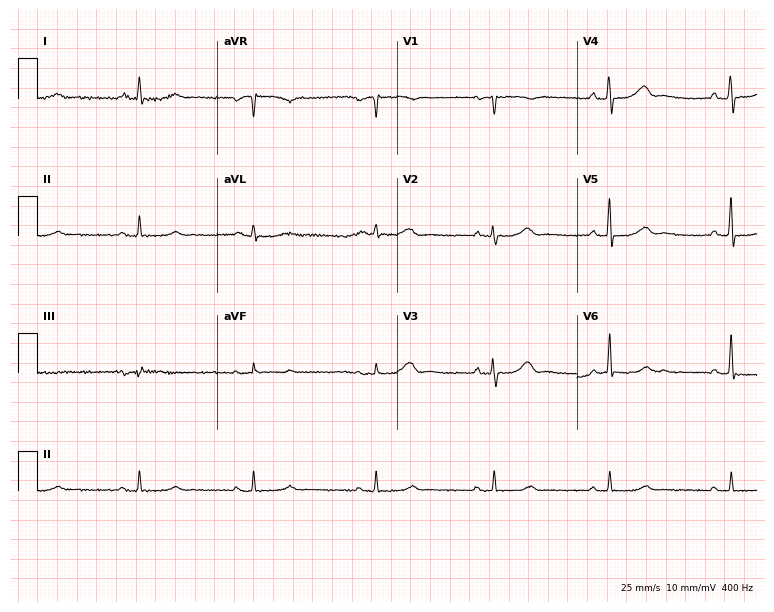
12-lead ECG from a female patient, 62 years old (7.3-second recording at 400 Hz). Recorded interpretation: within normal limits.